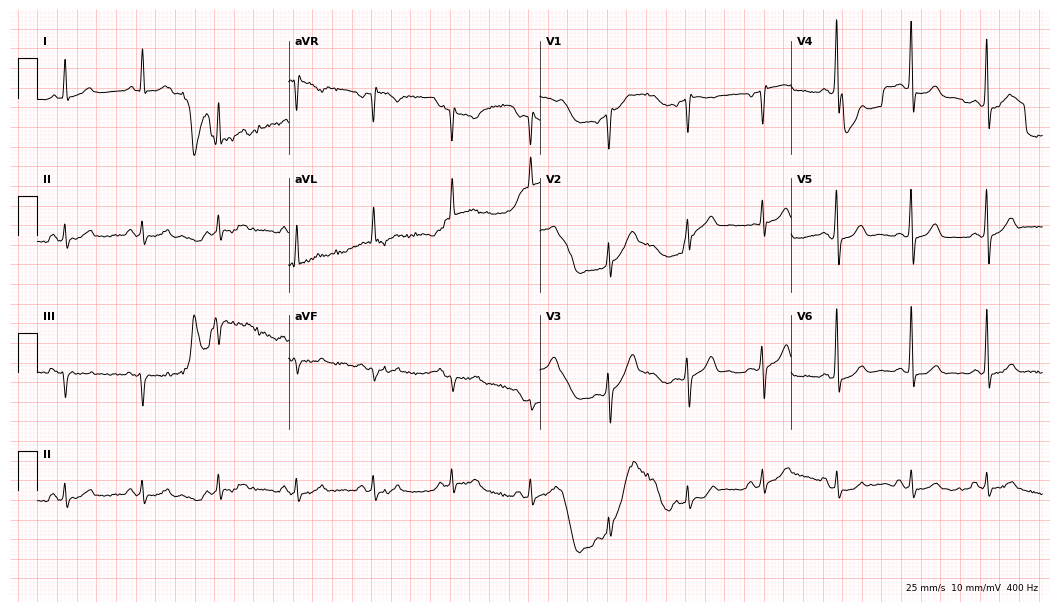
12-lead ECG from a 66-year-old male. Recorded interpretation: within normal limits.